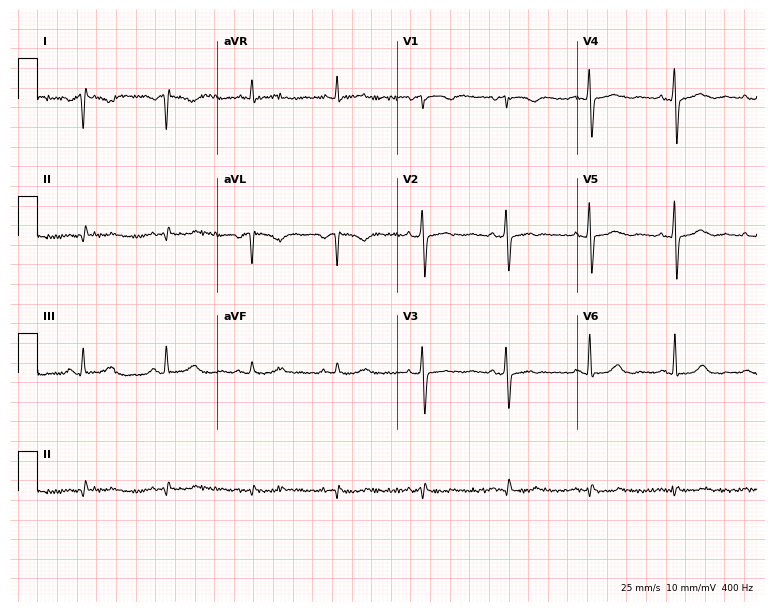
12-lead ECG (7.3-second recording at 400 Hz) from an 82-year-old female patient. Screened for six findings — first-degree AV block, right bundle branch block (RBBB), left bundle branch block (LBBB), sinus bradycardia, atrial fibrillation (AF), sinus tachycardia — none is recorded.